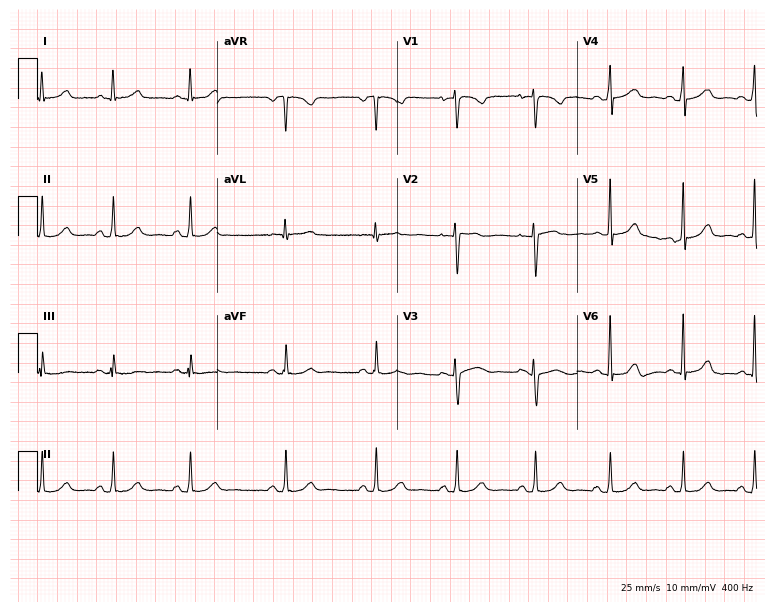
ECG (7.3-second recording at 400 Hz) — a 52-year-old female patient. Labelled as a normal ECG.